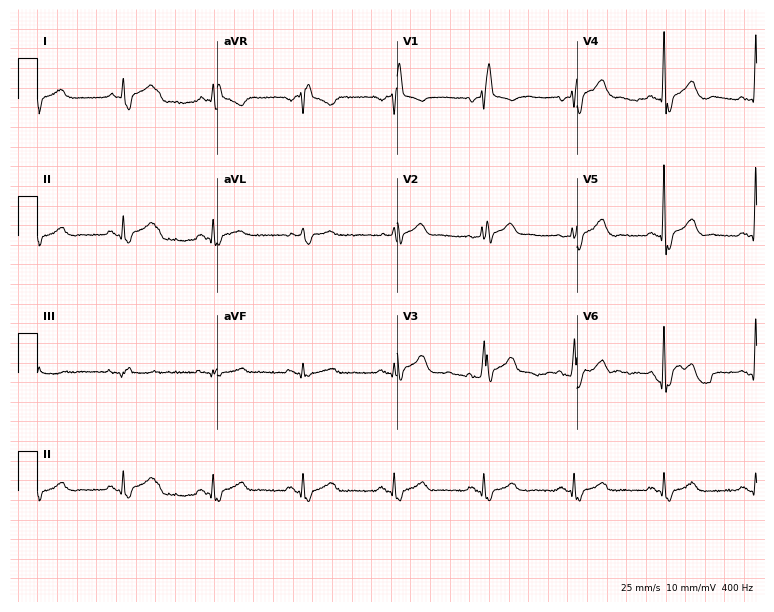
ECG — a 67-year-old man. Findings include right bundle branch block.